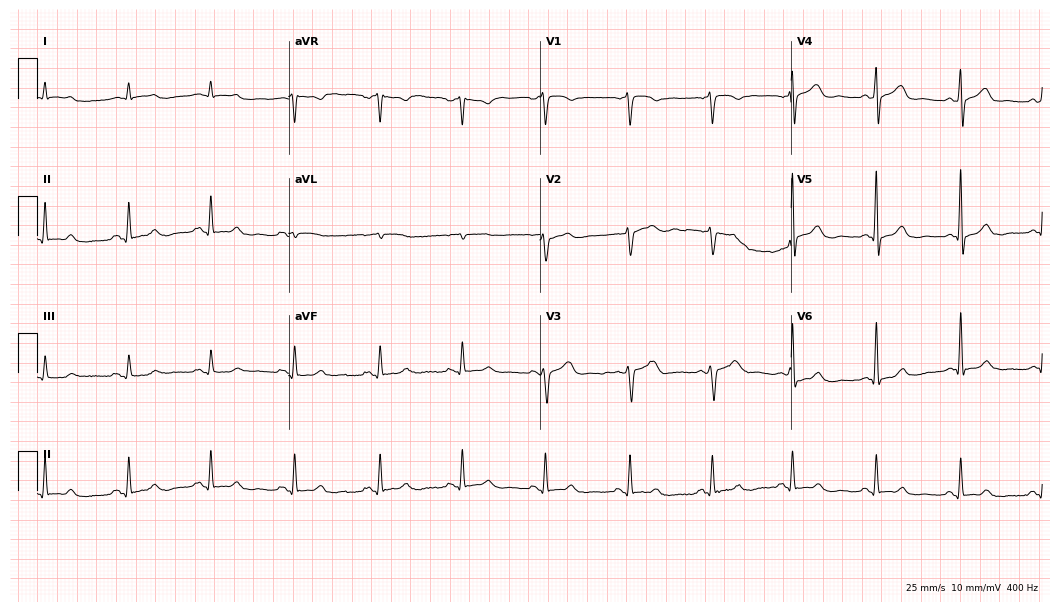
Standard 12-lead ECG recorded from a man, 60 years old (10.2-second recording at 400 Hz). None of these six findings is recorded: first-degree AV block, right bundle branch block, left bundle branch block, sinus bradycardia, atrial fibrillation, sinus tachycardia. Only these six findings were labelled.